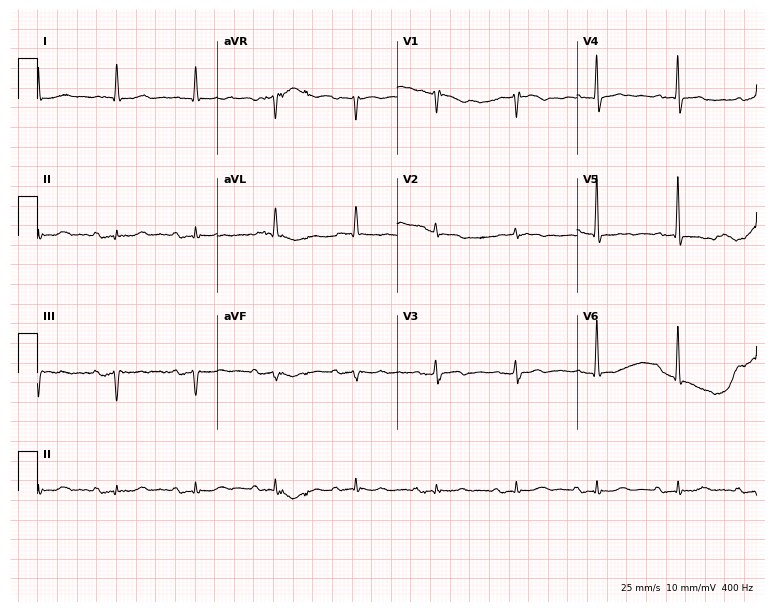
Standard 12-lead ECG recorded from a male patient, 73 years old. None of these six findings is recorded: first-degree AV block, right bundle branch block, left bundle branch block, sinus bradycardia, atrial fibrillation, sinus tachycardia.